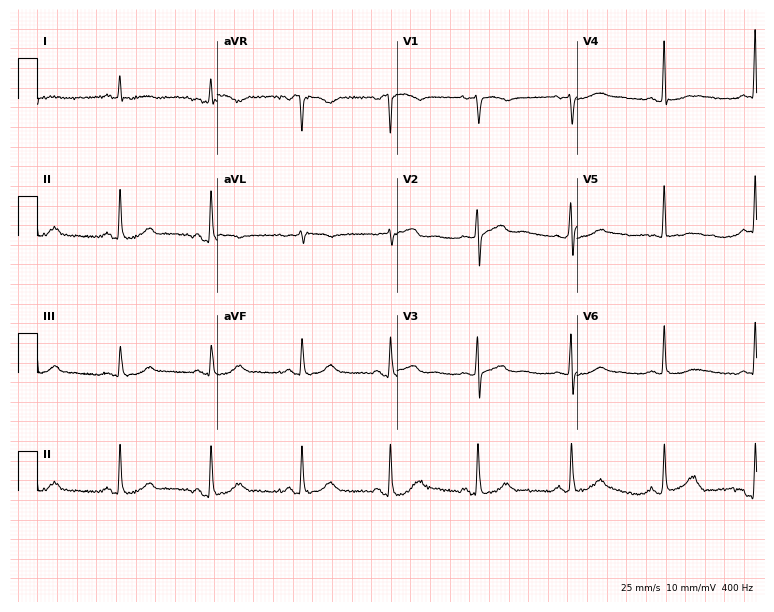
Resting 12-lead electrocardiogram. Patient: a 74-year-old female. Read as a normal ECG.